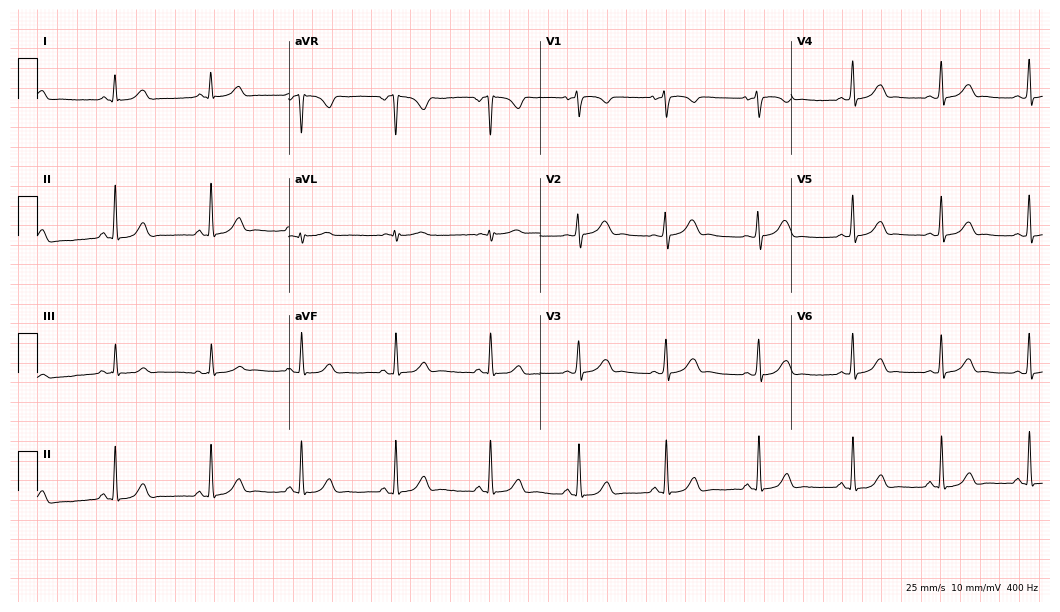
ECG — a female, 29 years old. Labelled as a normal ECG.